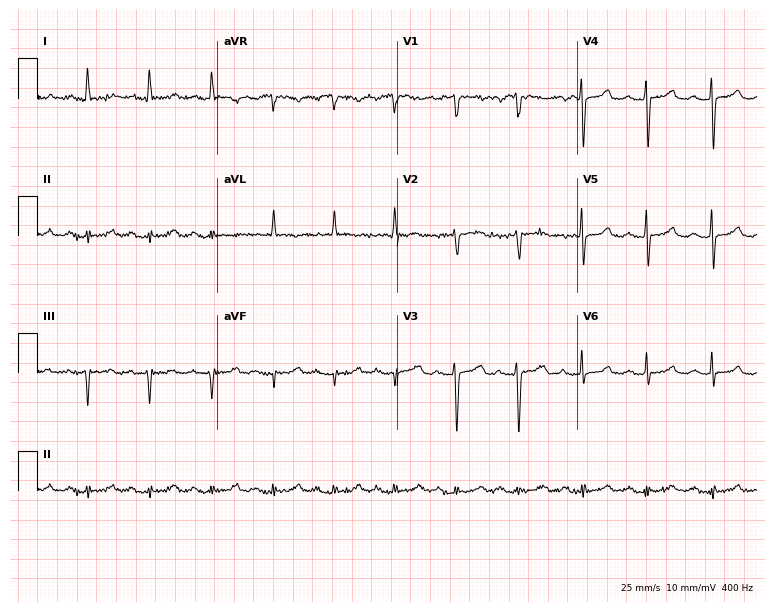
Electrocardiogram (7.3-second recording at 400 Hz), a female patient, 75 years old. Of the six screened findings (first-degree AV block, right bundle branch block, left bundle branch block, sinus bradycardia, atrial fibrillation, sinus tachycardia), none is recorded. Findings outside these six are not listed.